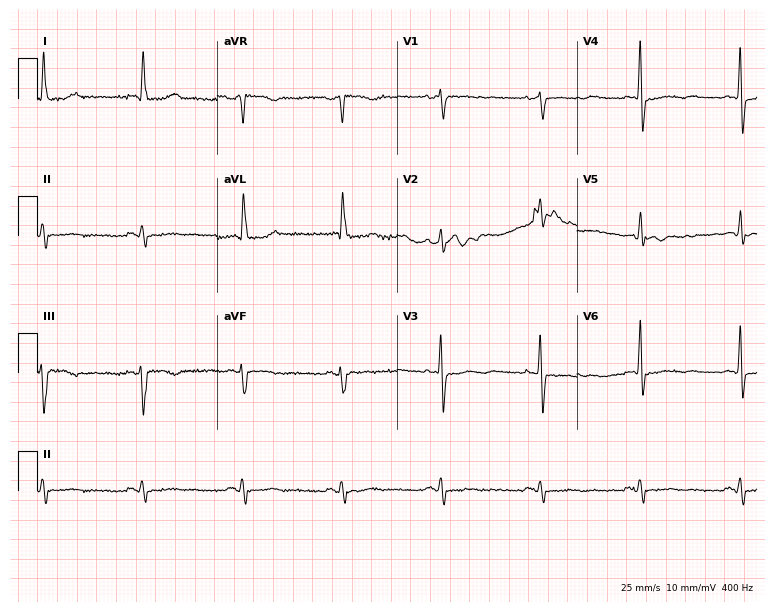
12-lead ECG from a female, 78 years old. No first-degree AV block, right bundle branch block, left bundle branch block, sinus bradycardia, atrial fibrillation or sinus tachycardia recorded for this tracing.